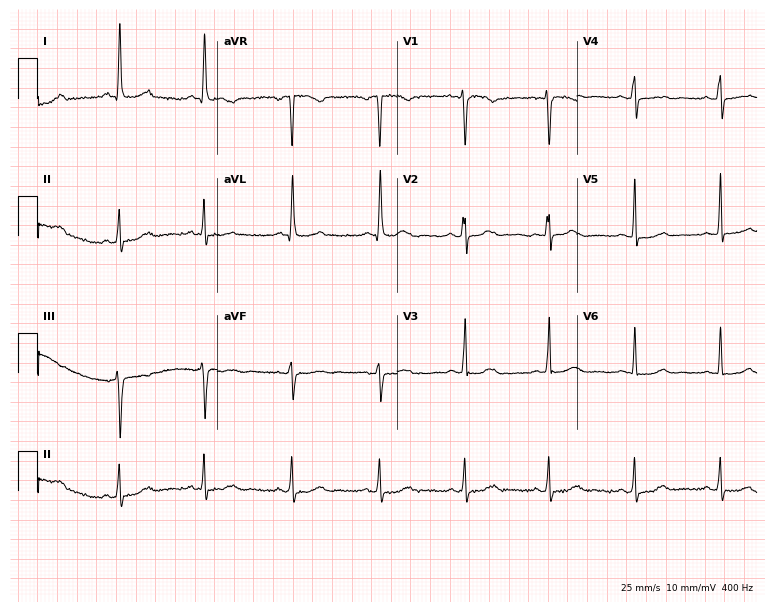
12-lead ECG from a female patient, 52 years old (7.3-second recording at 400 Hz). Recorded interpretation: within normal limits.